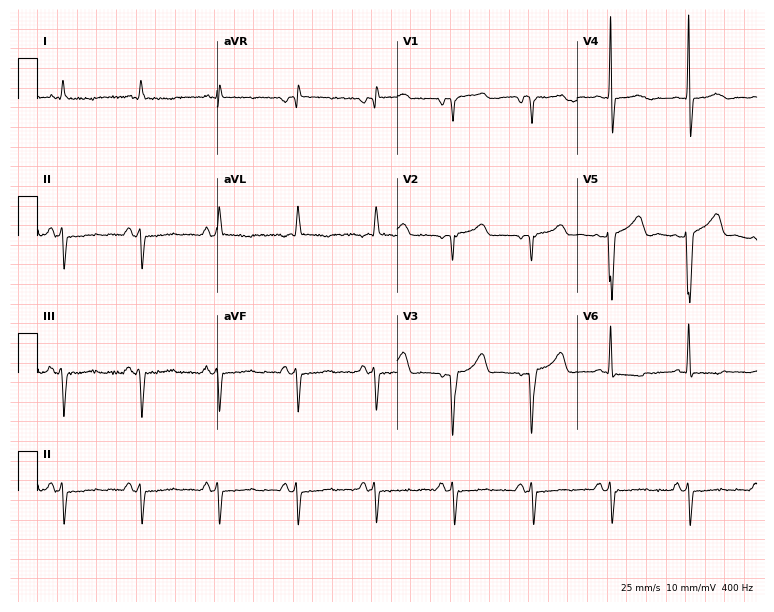
Electrocardiogram (7.3-second recording at 400 Hz), an 81-year-old man. Of the six screened findings (first-degree AV block, right bundle branch block, left bundle branch block, sinus bradycardia, atrial fibrillation, sinus tachycardia), none is recorded. Only these six findings were labelled.